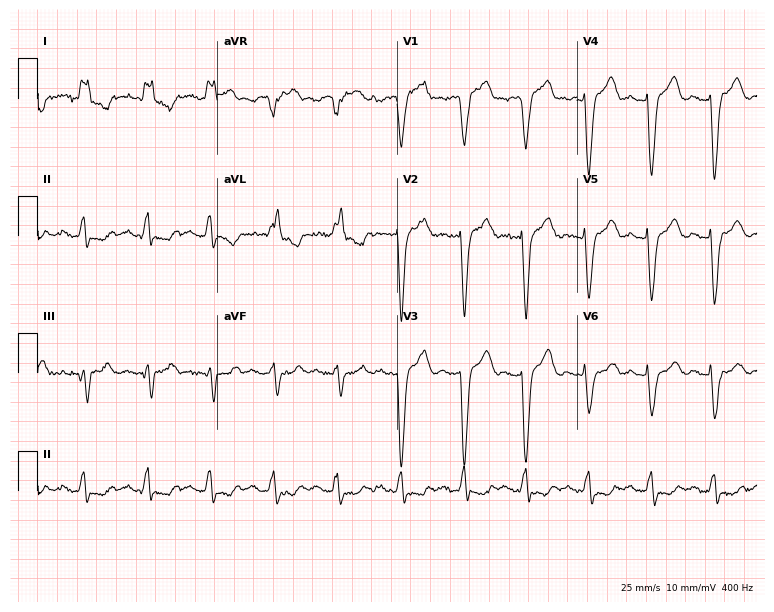
12-lead ECG from a 78-year-old woman (7.3-second recording at 400 Hz). Shows left bundle branch block.